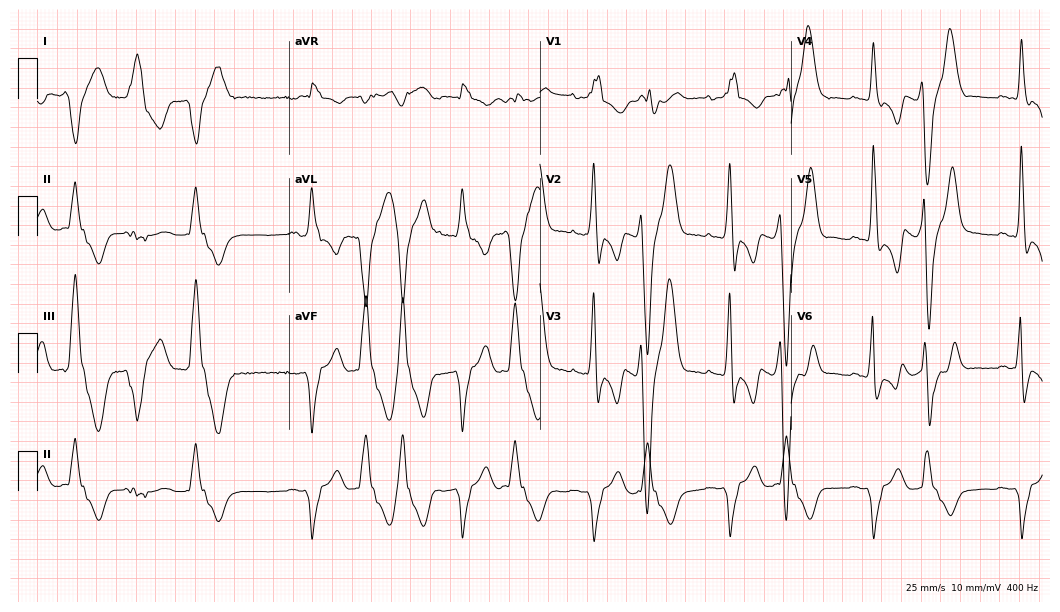
Electrocardiogram (10.2-second recording at 400 Hz), a male, 53 years old. Interpretation includes right bundle branch block (RBBB).